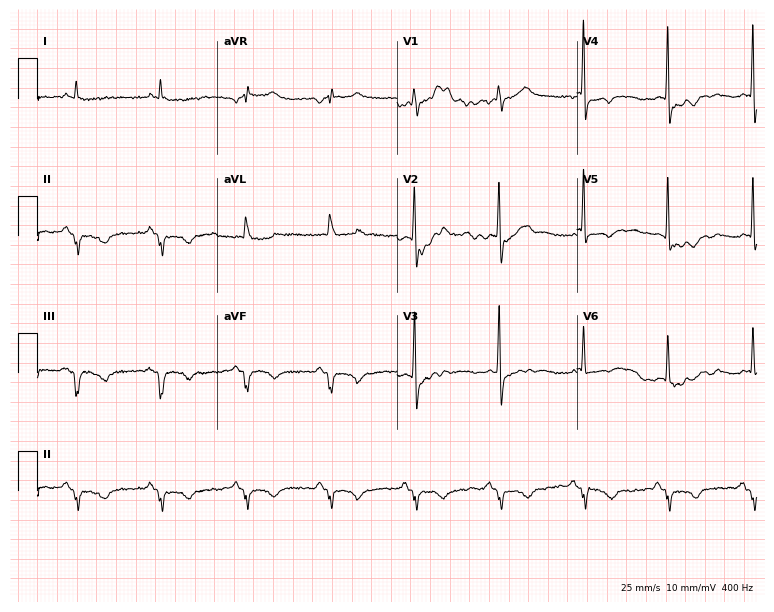
Resting 12-lead electrocardiogram. Patient: a 68-year-old male. None of these six findings is recorded: first-degree AV block, right bundle branch block, left bundle branch block, sinus bradycardia, atrial fibrillation, sinus tachycardia.